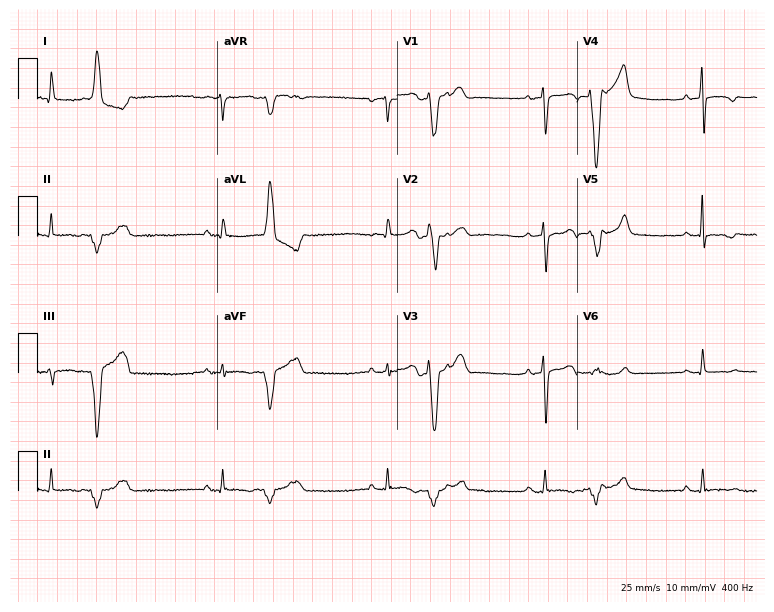
Resting 12-lead electrocardiogram (7.3-second recording at 400 Hz). Patient: a 65-year-old female. None of these six findings is recorded: first-degree AV block, right bundle branch block (RBBB), left bundle branch block (LBBB), sinus bradycardia, atrial fibrillation (AF), sinus tachycardia. Other findings, if any, are not listed.